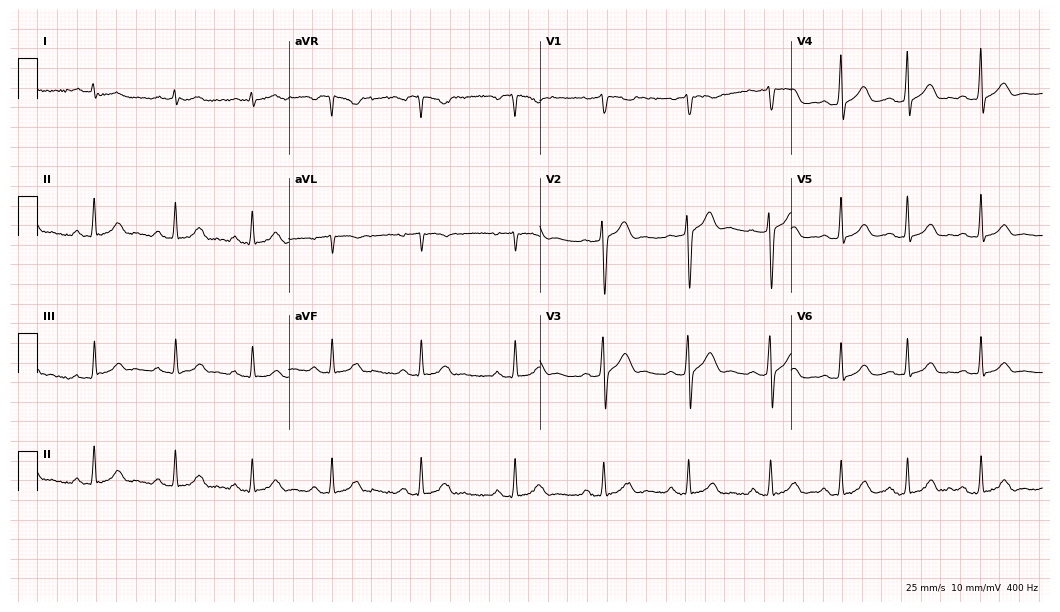
Resting 12-lead electrocardiogram (10.2-second recording at 400 Hz). Patient: a 33-year-old male. Read as a normal ECG.